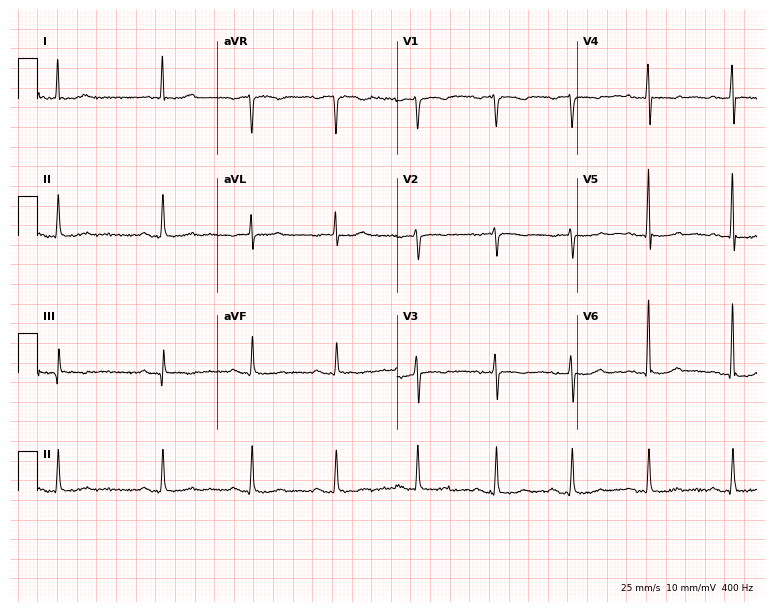
Resting 12-lead electrocardiogram (7.3-second recording at 400 Hz). Patient: an 84-year-old female. Read as a normal ECG.